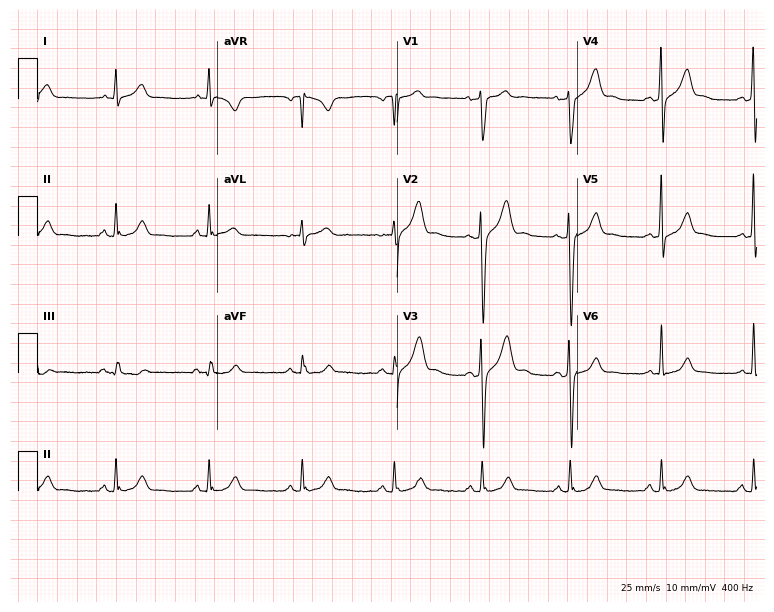
12-lead ECG (7.3-second recording at 400 Hz) from a male, 32 years old. Labelled as a normal ECG.